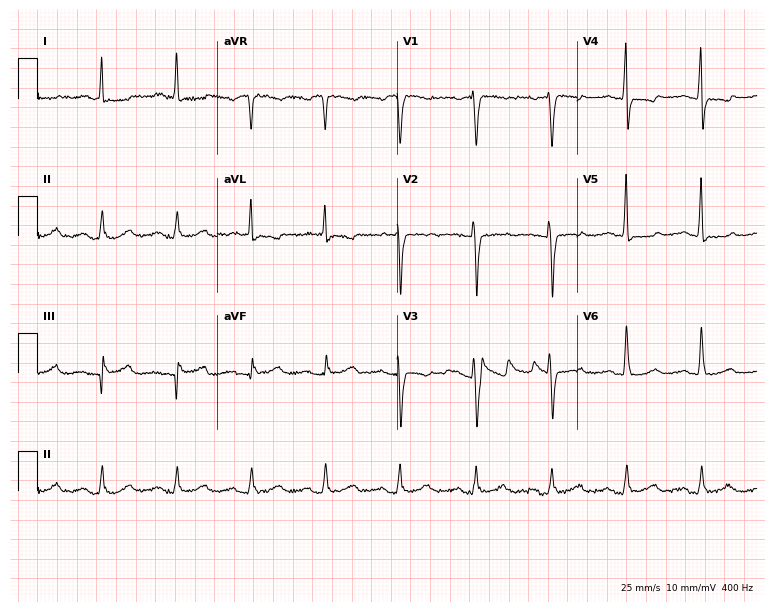
ECG (7.3-second recording at 400 Hz) — a 66-year-old female patient. Screened for six findings — first-degree AV block, right bundle branch block, left bundle branch block, sinus bradycardia, atrial fibrillation, sinus tachycardia — none is recorded.